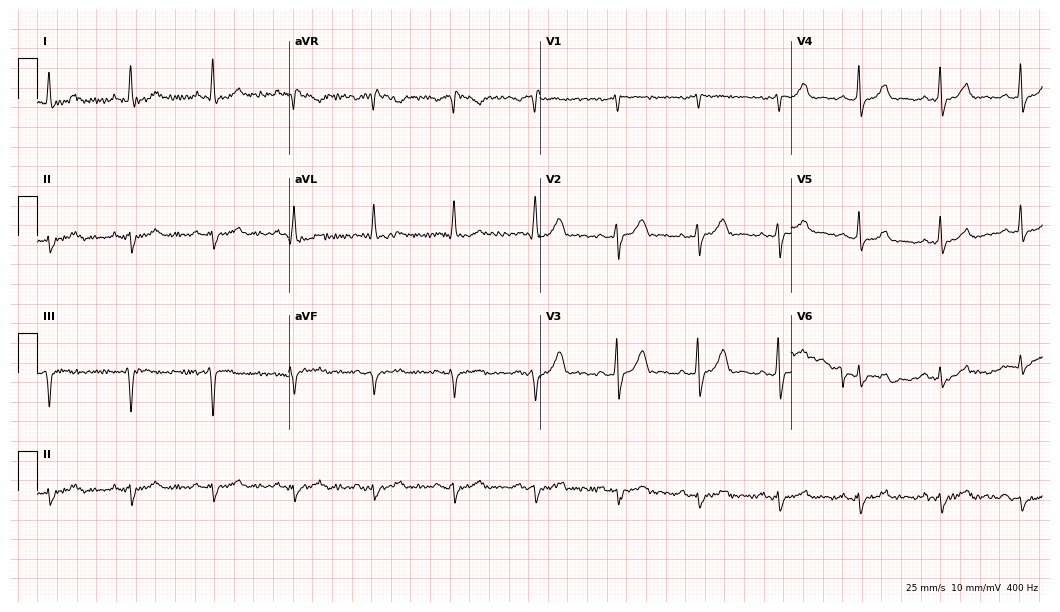
Electrocardiogram (10.2-second recording at 400 Hz), a 52-year-old man. Of the six screened findings (first-degree AV block, right bundle branch block, left bundle branch block, sinus bradycardia, atrial fibrillation, sinus tachycardia), none is recorded. Findings outside these six are not listed.